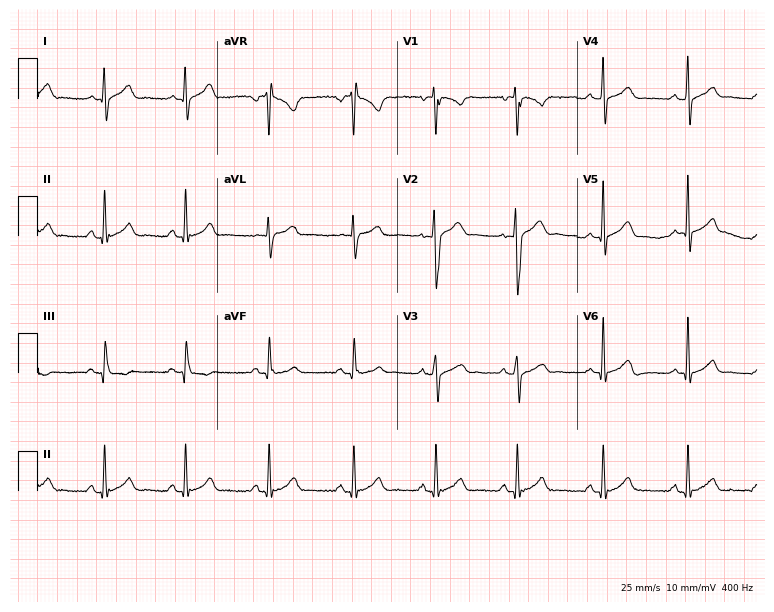
Electrocardiogram (7.3-second recording at 400 Hz), a male patient, 22 years old. Overall reading on record: normal ECG.